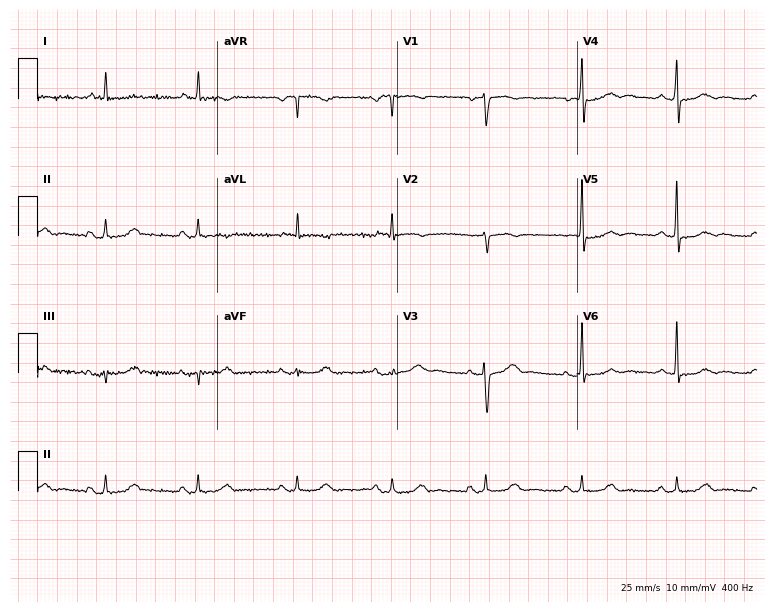
12-lead ECG from a female, 73 years old. Screened for six findings — first-degree AV block, right bundle branch block, left bundle branch block, sinus bradycardia, atrial fibrillation, sinus tachycardia — none is recorded. Findings outside these six are not listed.